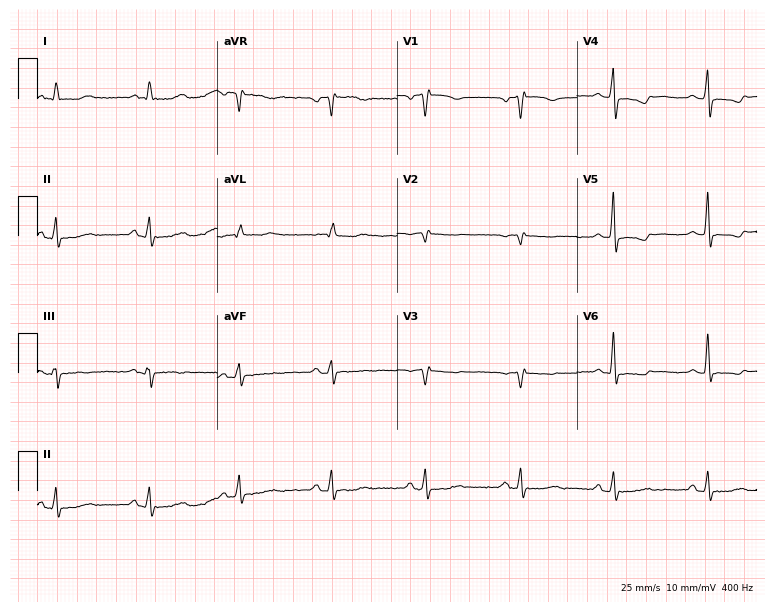
12-lead ECG from a woman, 69 years old (7.3-second recording at 400 Hz). No first-degree AV block, right bundle branch block, left bundle branch block, sinus bradycardia, atrial fibrillation or sinus tachycardia recorded for this tracing. Other findings, if any, are not listed.